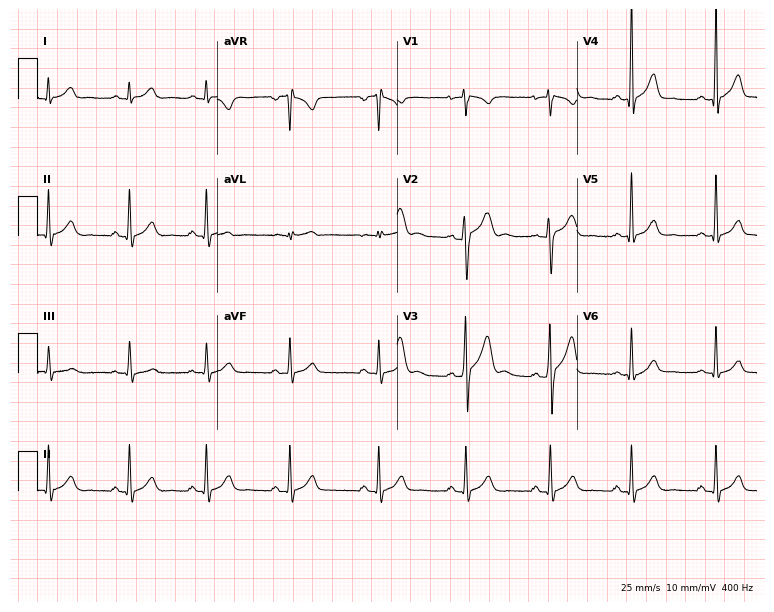
Resting 12-lead electrocardiogram (7.3-second recording at 400 Hz). Patient: a man, 23 years old. None of these six findings is recorded: first-degree AV block, right bundle branch block, left bundle branch block, sinus bradycardia, atrial fibrillation, sinus tachycardia. Findings outside these six are not listed.